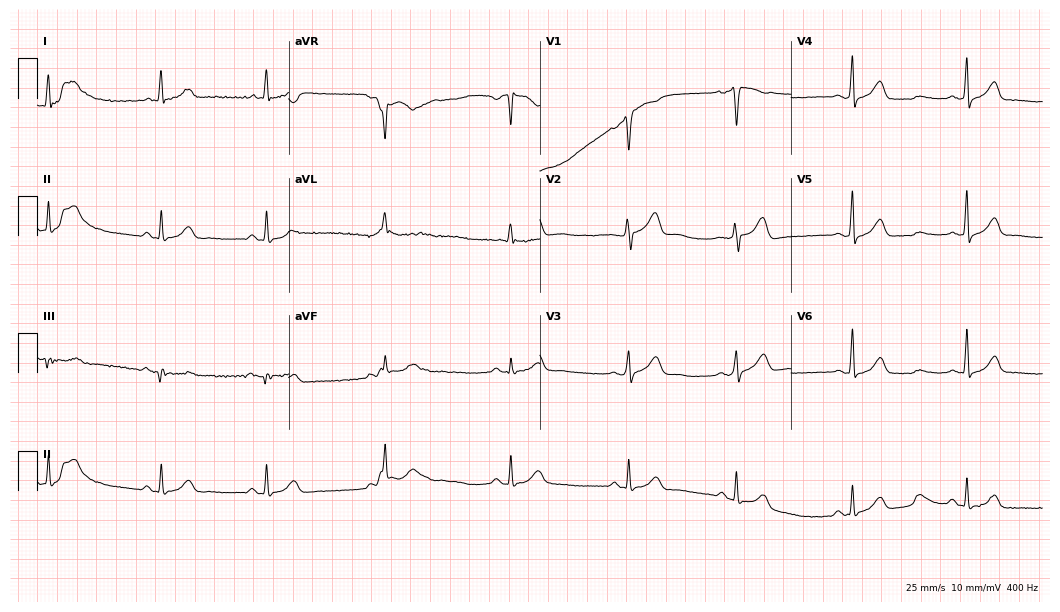
12-lead ECG from a female patient, 49 years old. Labelled as a normal ECG.